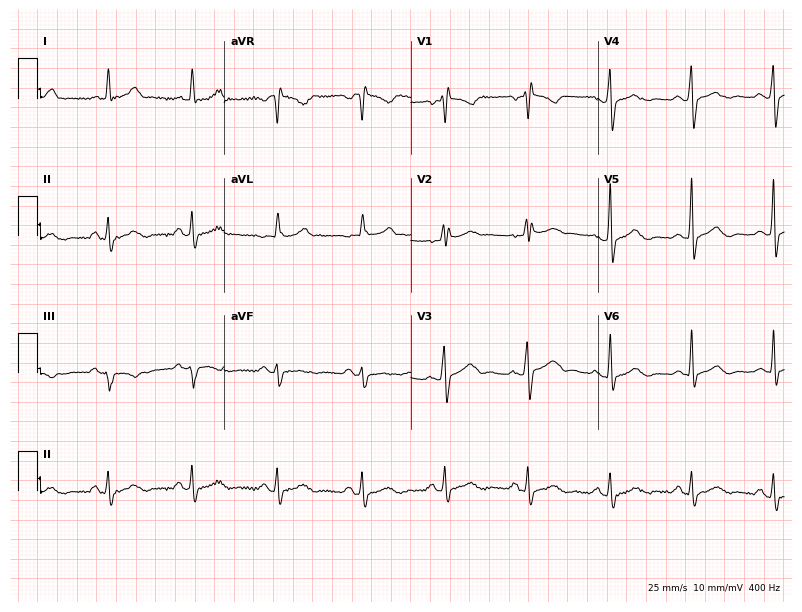
Standard 12-lead ECG recorded from a man, 54 years old (7.6-second recording at 400 Hz). None of these six findings is recorded: first-degree AV block, right bundle branch block (RBBB), left bundle branch block (LBBB), sinus bradycardia, atrial fibrillation (AF), sinus tachycardia.